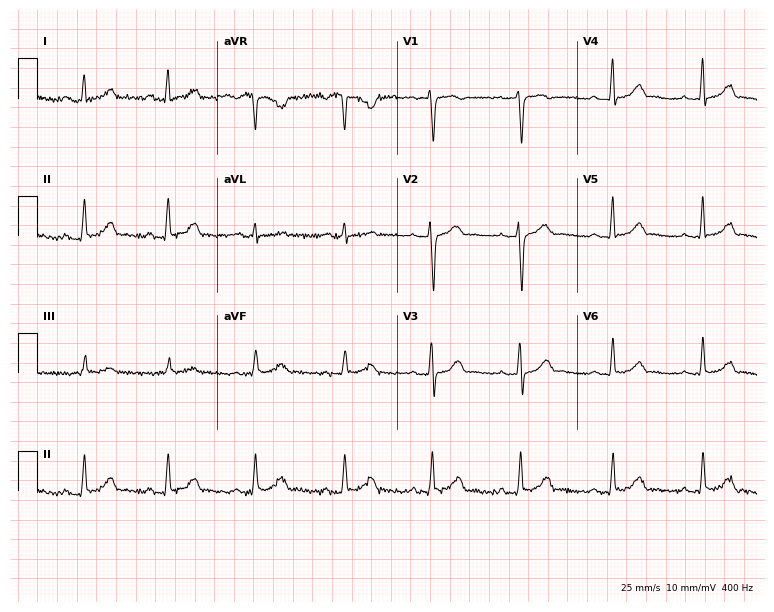
12-lead ECG (7.3-second recording at 400 Hz) from a female patient, 23 years old. Labelled as a normal ECG.